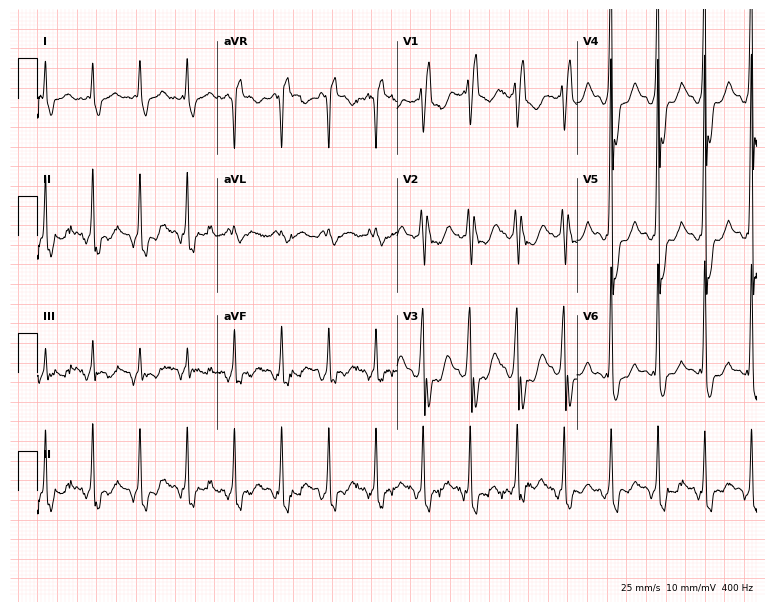
ECG (7.3-second recording at 400 Hz) — a 55-year-old male patient. Findings include right bundle branch block (RBBB).